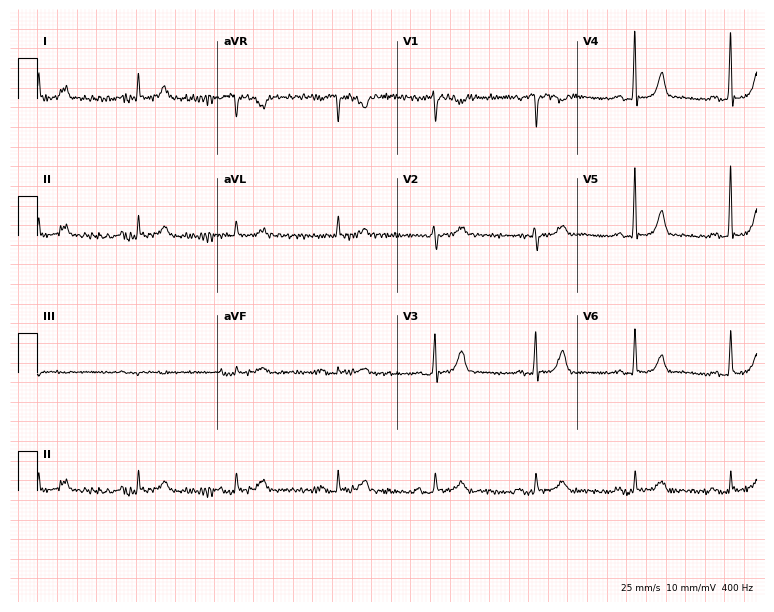
Electrocardiogram, a female patient, 61 years old. Overall reading on record: normal ECG.